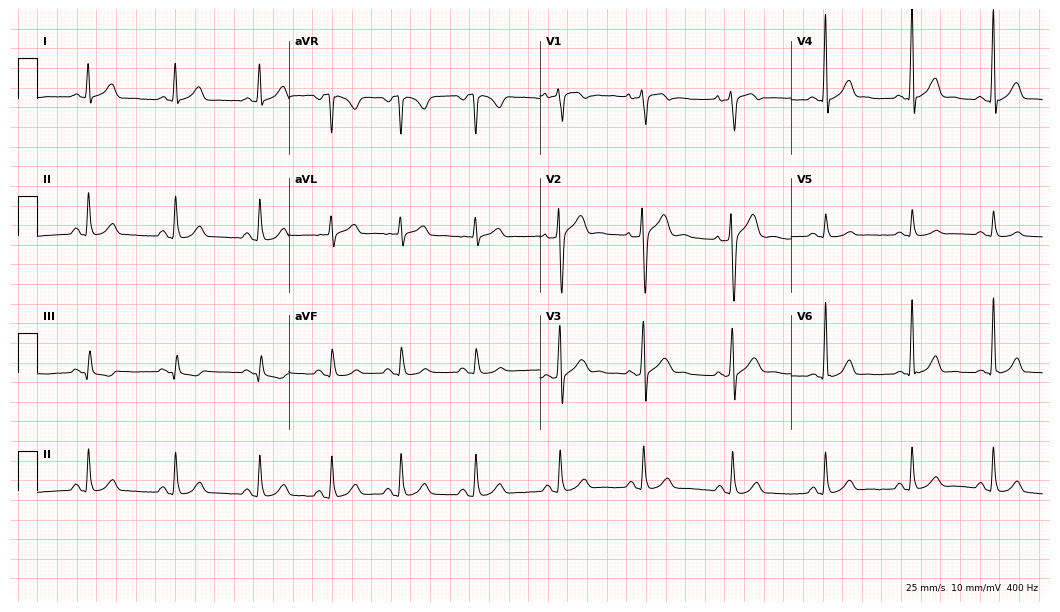
12-lead ECG (10.2-second recording at 400 Hz) from a 29-year-old man. Labelled as a normal ECG.